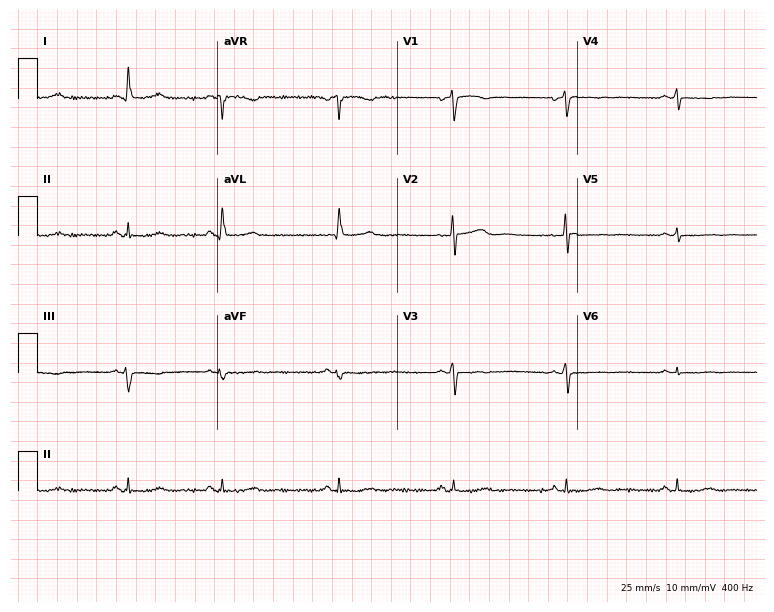
Resting 12-lead electrocardiogram (7.3-second recording at 400 Hz). Patient: a 50-year-old woman. Read as a normal ECG.